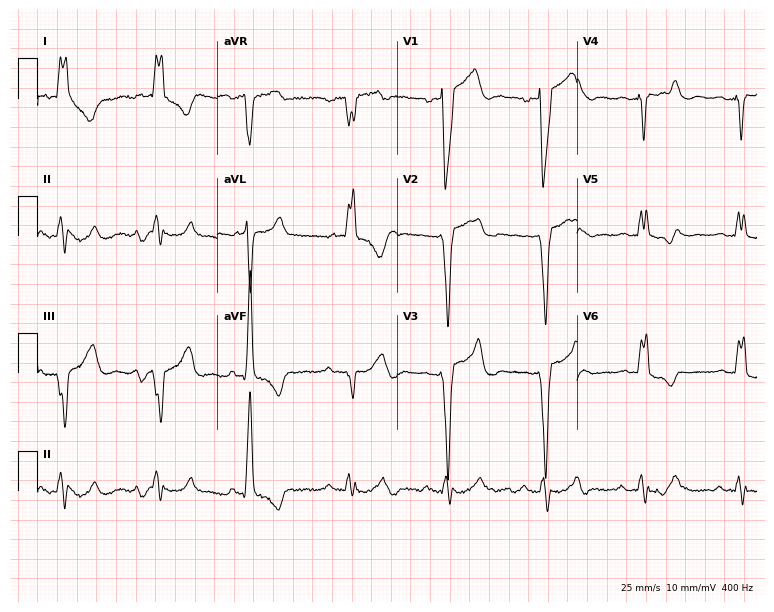
Electrocardiogram, a 69-year-old male. Interpretation includes left bundle branch block (LBBB).